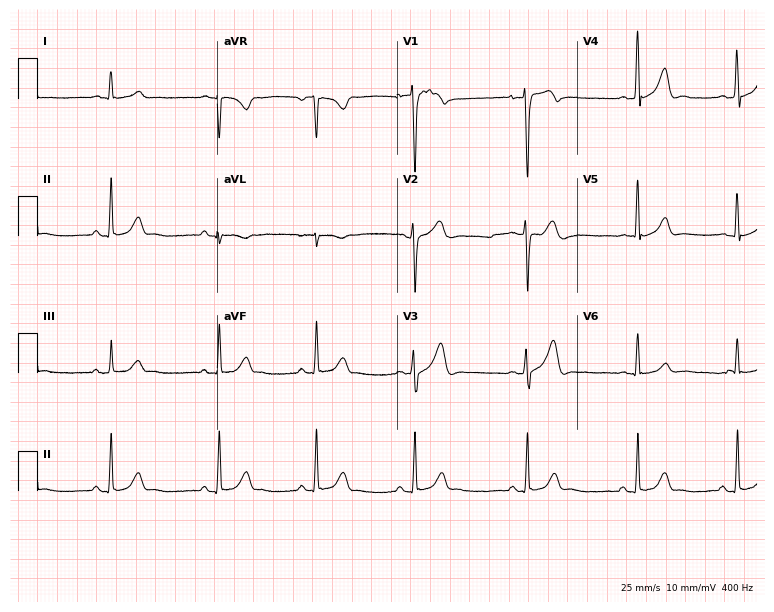
ECG — a male patient, 22 years old. Screened for six findings — first-degree AV block, right bundle branch block, left bundle branch block, sinus bradycardia, atrial fibrillation, sinus tachycardia — none is recorded. Other findings, if any, are not listed.